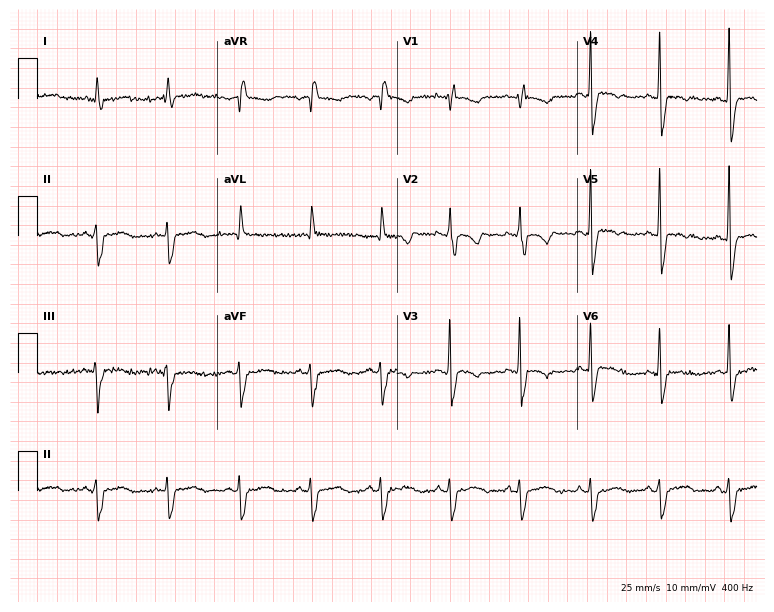
Resting 12-lead electrocardiogram. Patient: a female, 55 years old. None of these six findings is recorded: first-degree AV block, right bundle branch block, left bundle branch block, sinus bradycardia, atrial fibrillation, sinus tachycardia.